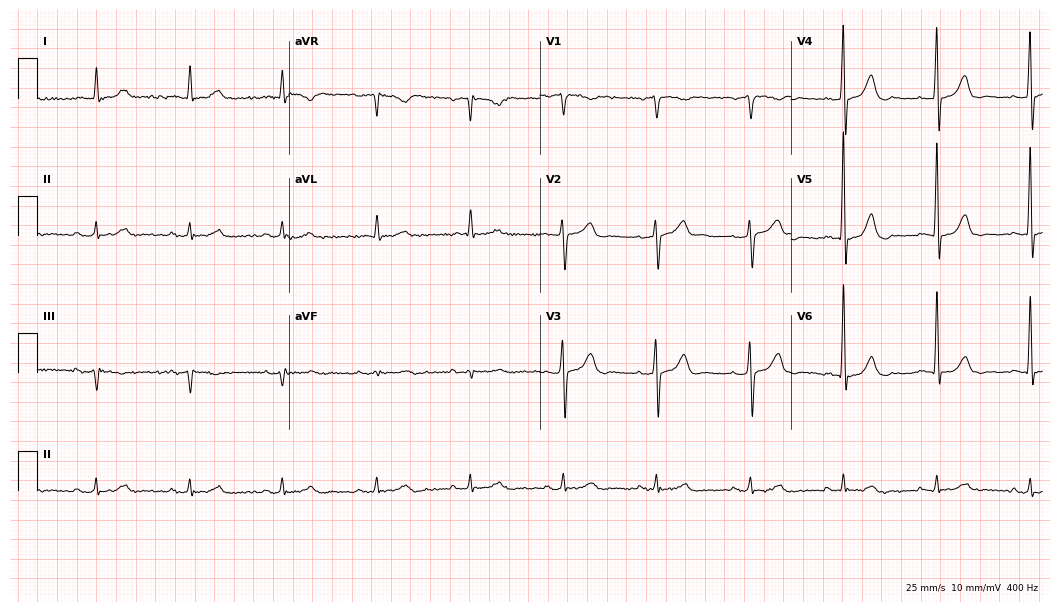
ECG — an 84-year-old male patient. Labelled as a normal ECG.